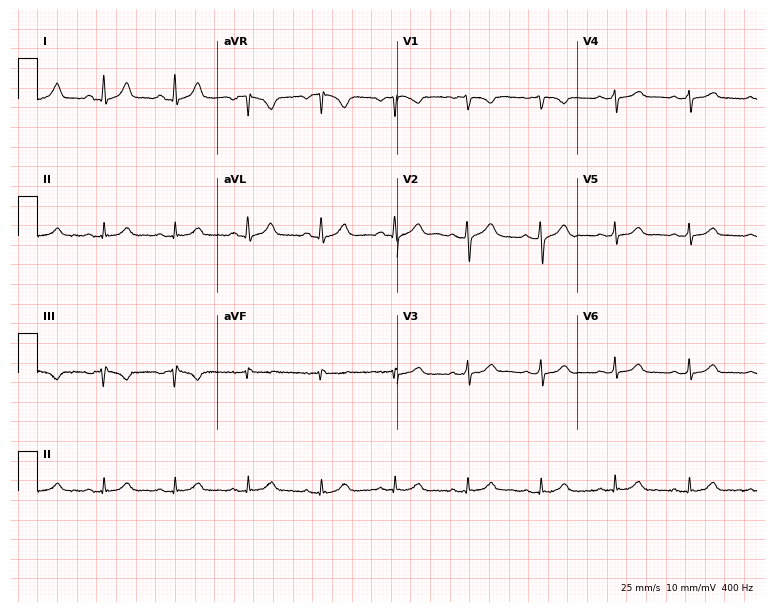
12-lead ECG from a 37-year-old female patient. Labelled as a normal ECG.